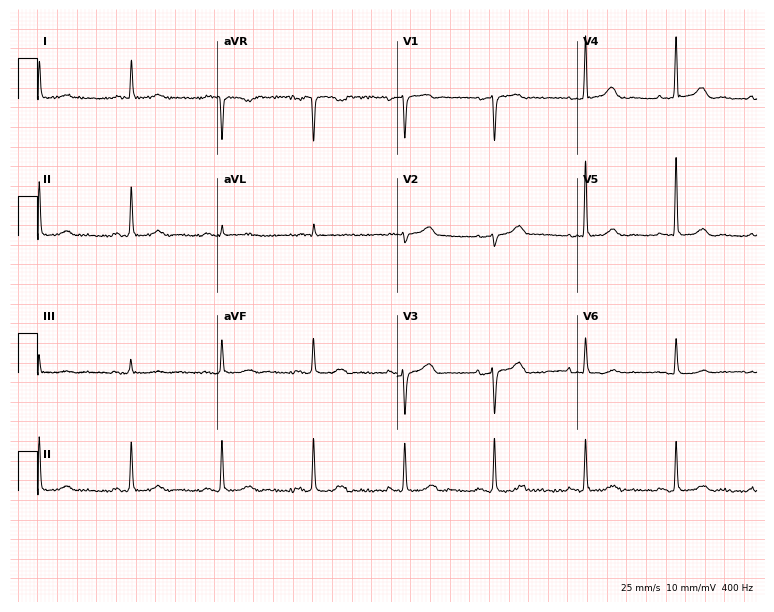
Standard 12-lead ECG recorded from a 75-year-old woman (7.3-second recording at 400 Hz). None of these six findings is recorded: first-degree AV block, right bundle branch block, left bundle branch block, sinus bradycardia, atrial fibrillation, sinus tachycardia. Other findings, if any, are not listed.